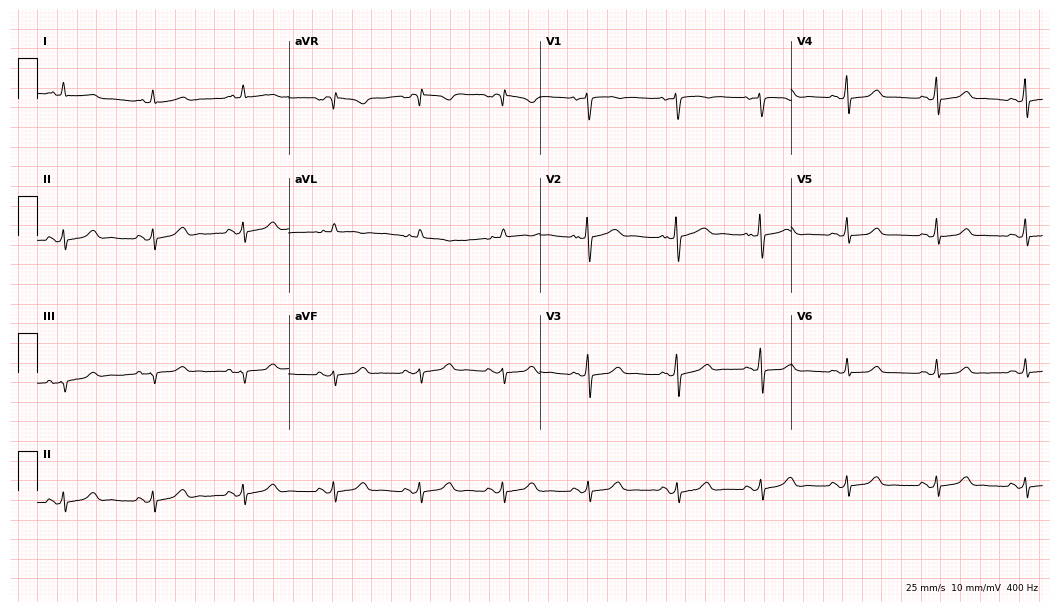
ECG — a 48-year-old female. Labelled as a normal ECG.